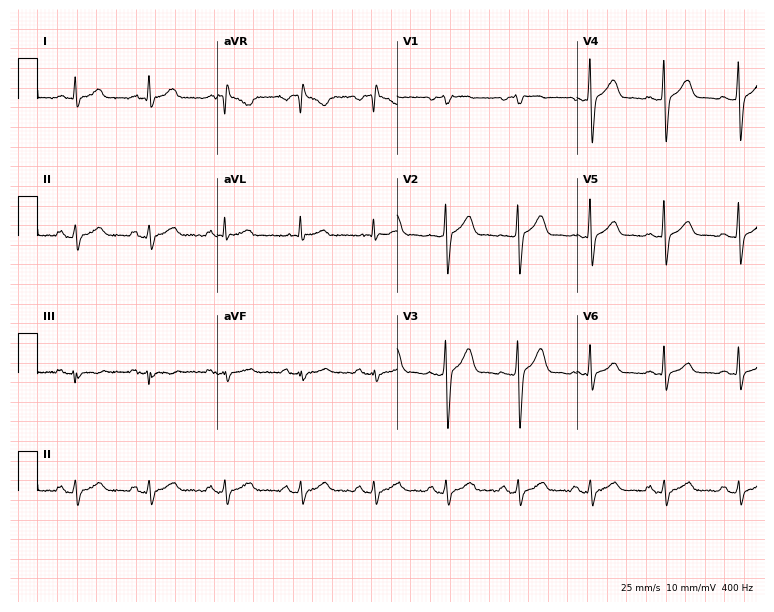
Standard 12-lead ECG recorded from a male patient, 50 years old. Read as a normal ECG.